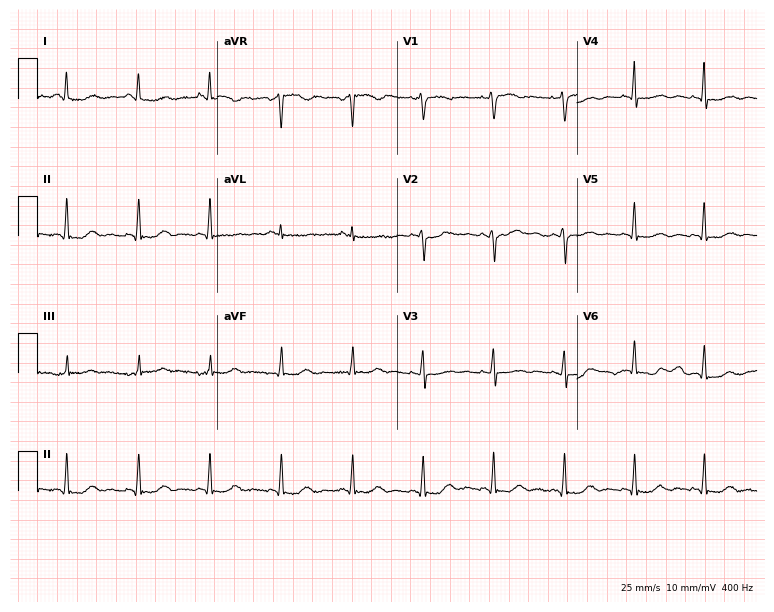
12-lead ECG from a 48-year-old woman (7.3-second recording at 400 Hz). No first-degree AV block, right bundle branch block, left bundle branch block, sinus bradycardia, atrial fibrillation or sinus tachycardia recorded for this tracing.